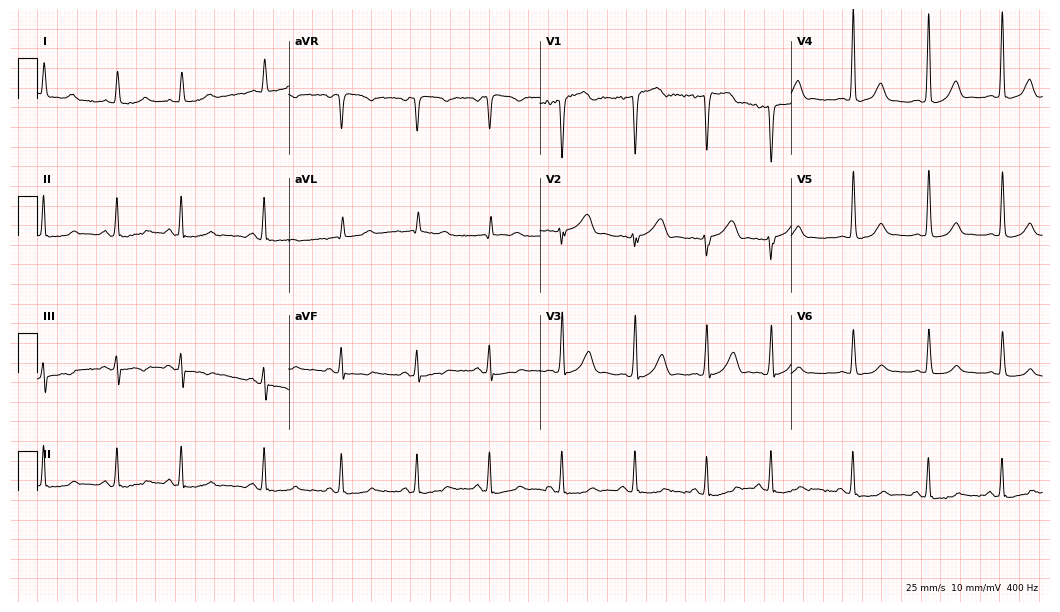
ECG (10.2-second recording at 400 Hz) — a woman, 78 years old. Screened for six findings — first-degree AV block, right bundle branch block, left bundle branch block, sinus bradycardia, atrial fibrillation, sinus tachycardia — none is recorded. Findings outside these six are not listed.